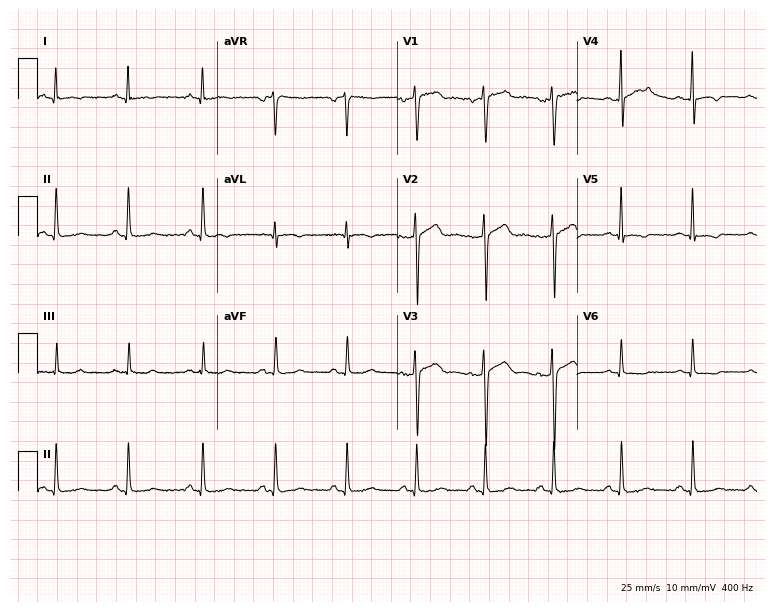
12-lead ECG from a male patient, 38 years old. Screened for six findings — first-degree AV block, right bundle branch block, left bundle branch block, sinus bradycardia, atrial fibrillation, sinus tachycardia — none is recorded. Findings outside these six are not listed.